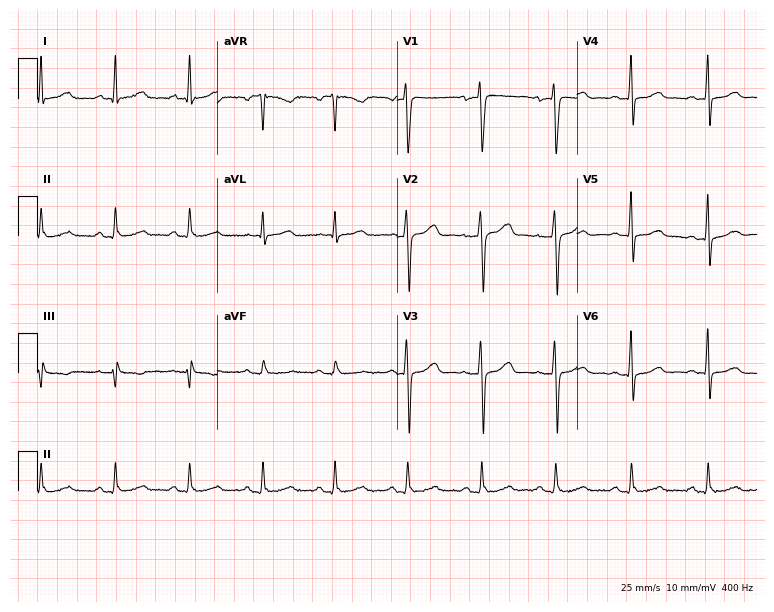
Resting 12-lead electrocardiogram. Patient: a 44-year-old man. Read as a normal ECG.